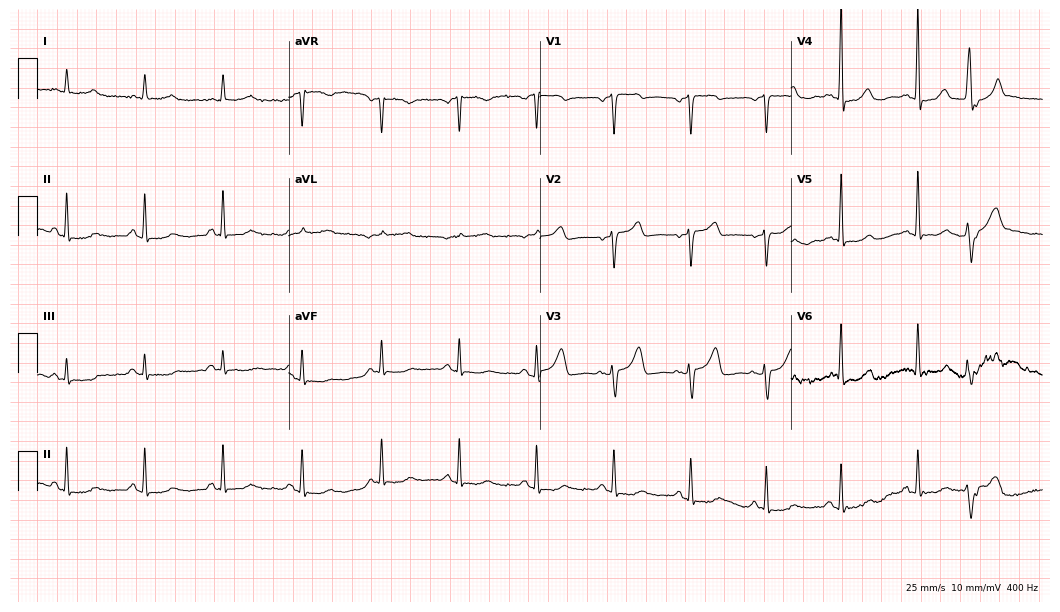
12-lead ECG from a man, 80 years old. Screened for six findings — first-degree AV block, right bundle branch block, left bundle branch block, sinus bradycardia, atrial fibrillation, sinus tachycardia — none is recorded.